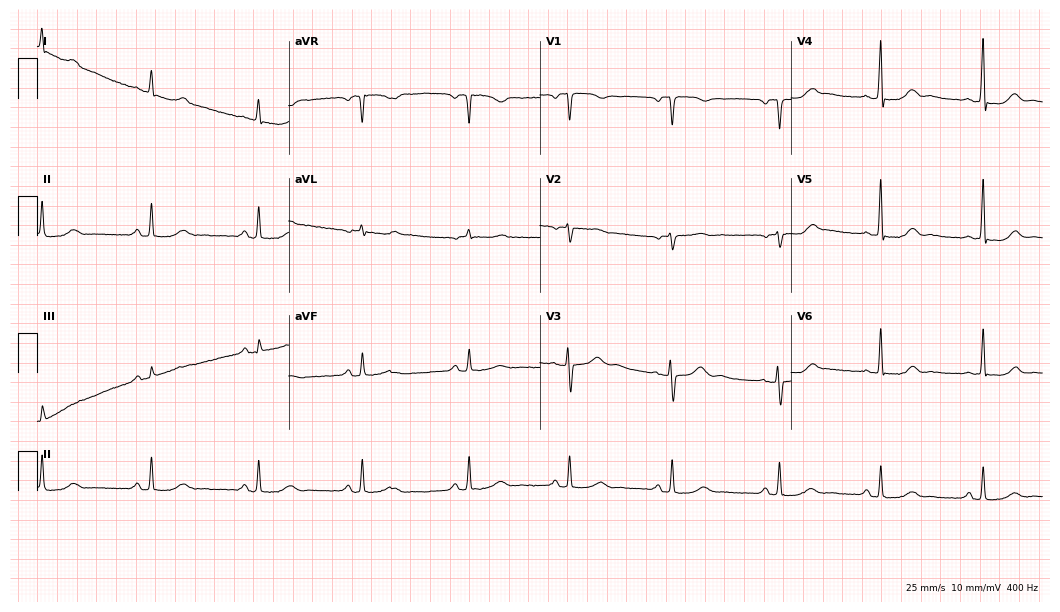
12-lead ECG from a woman, 58 years old. Screened for six findings — first-degree AV block, right bundle branch block (RBBB), left bundle branch block (LBBB), sinus bradycardia, atrial fibrillation (AF), sinus tachycardia — none is recorded.